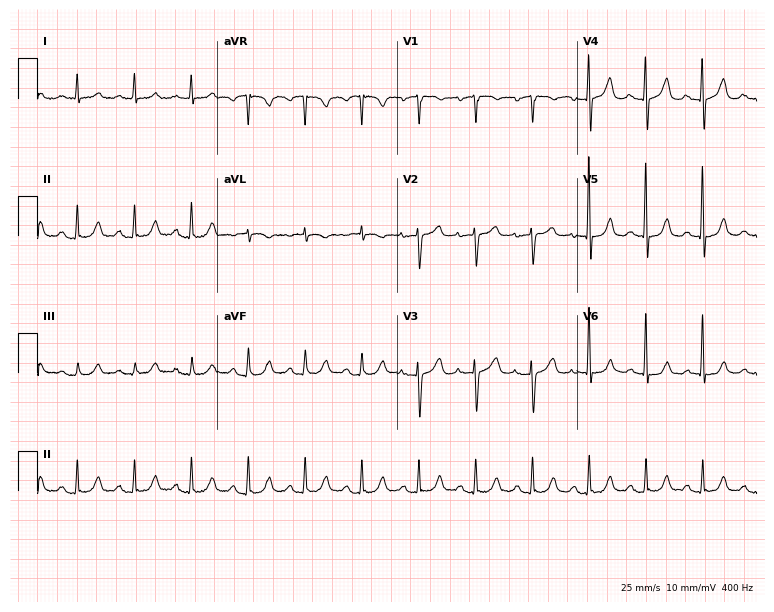
12-lead ECG from a female, 75 years old. Findings include sinus tachycardia (a sinus rate of 100 beats per minute or more).